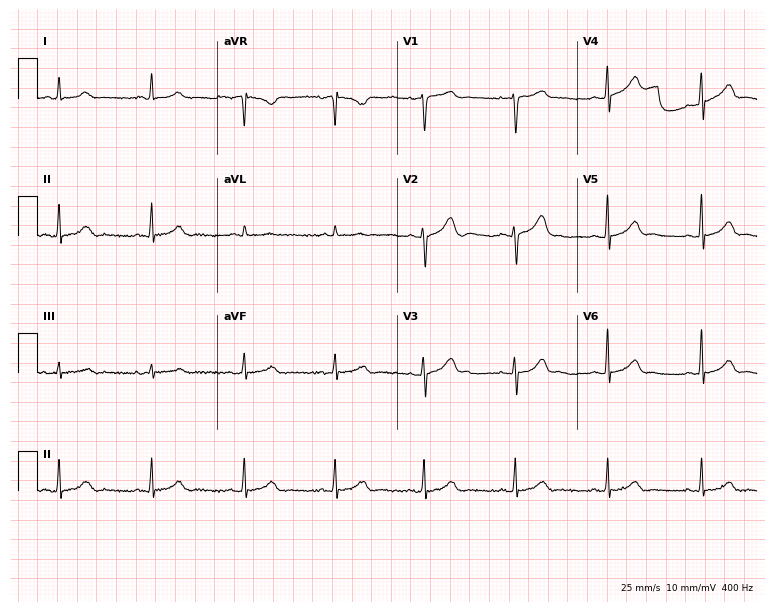
Resting 12-lead electrocardiogram. Patient: a 48-year-old female. Read as a normal ECG.